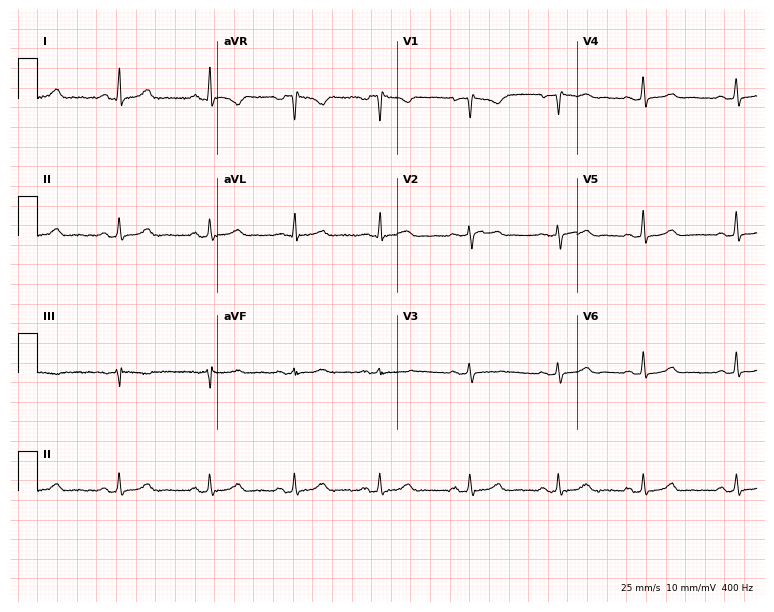
12-lead ECG (7.3-second recording at 400 Hz) from a female, 42 years old. Labelled as a normal ECG.